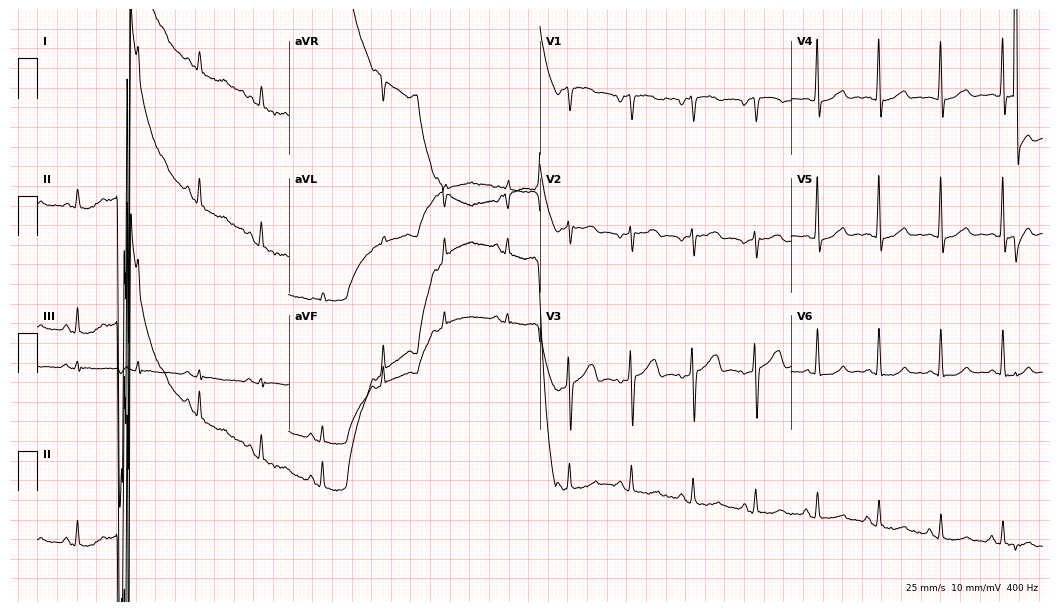
Electrocardiogram, an 81-year-old female. Overall reading on record: normal ECG.